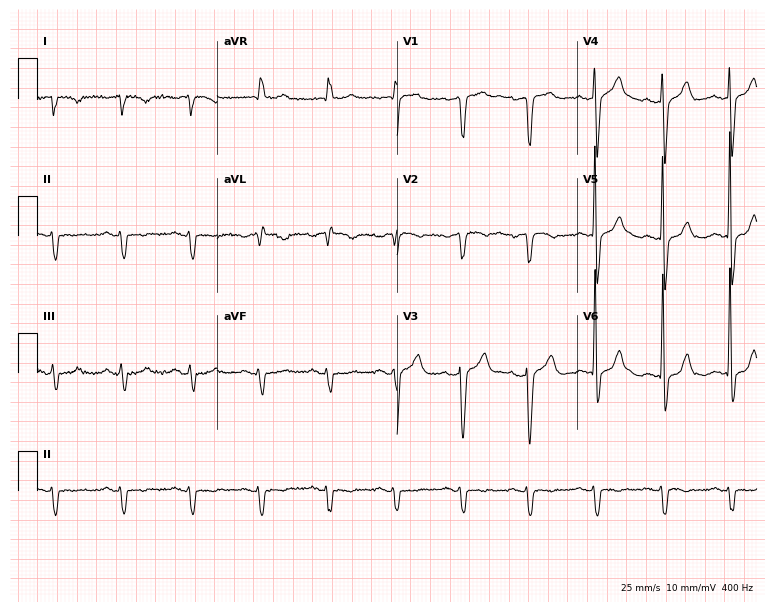
12-lead ECG from a male, 85 years old. No first-degree AV block, right bundle branch block, left bundle branch block, sinus bradycardia, atrial fibrillation or sinus tachycardia recorded for this tracing. Findings outside these six are not listed.